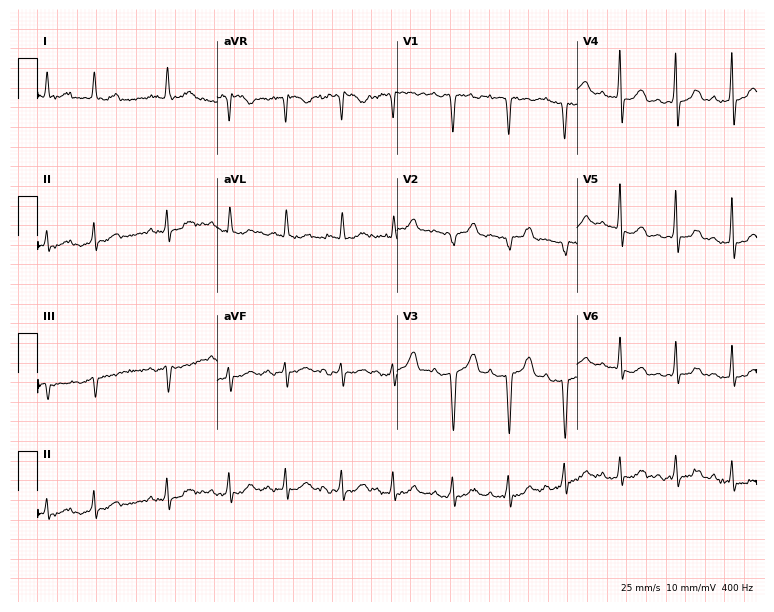
Electrocardiogram, a female patient, 84 years old. Interpretation includes sinus tachycardia (a sinus rate of 100 beats per minute or more).